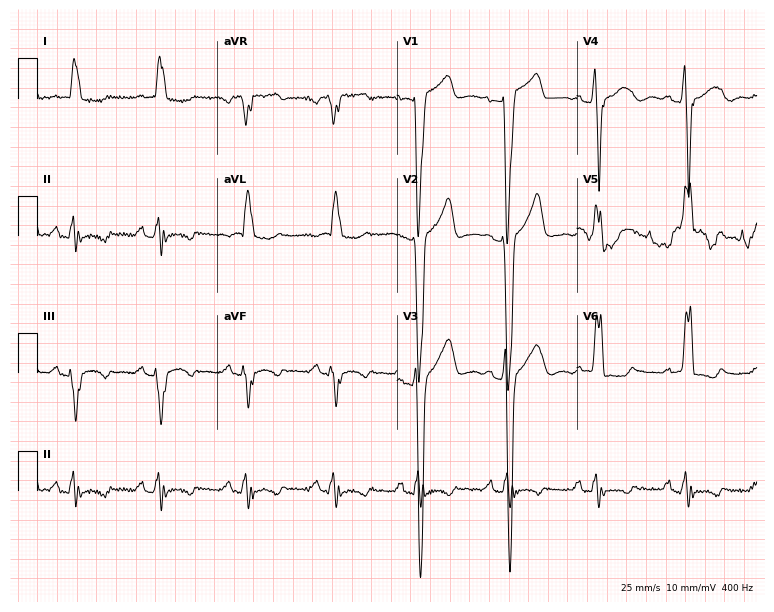
Electrocardiogram (7.3-second recording at 400 Hz), a 76-year-old female. Interpretation includes left bundle branch block.